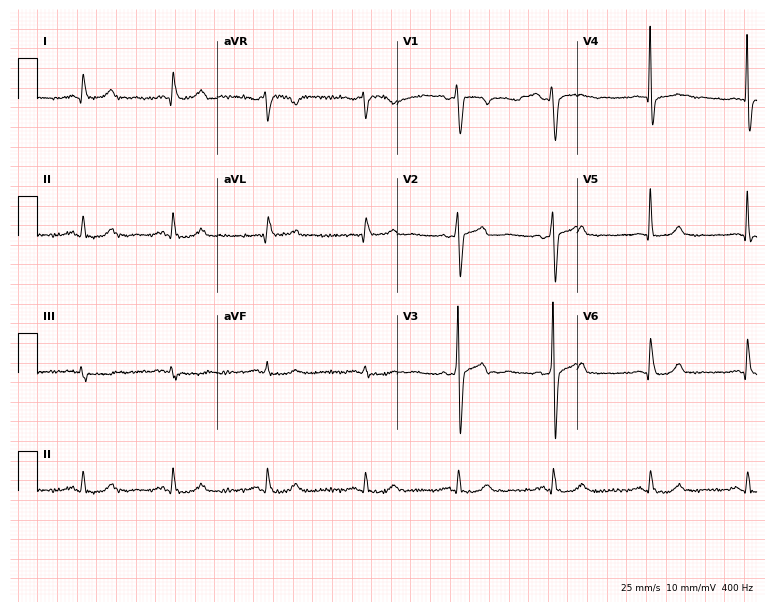
12-lead ECG from a 51-year-old man. No first-degree AV block, right bundle branch block, left bundle branch block, sinus bradycardia, atrial fibrillation or sinus tachycardia recorded for this tracing.